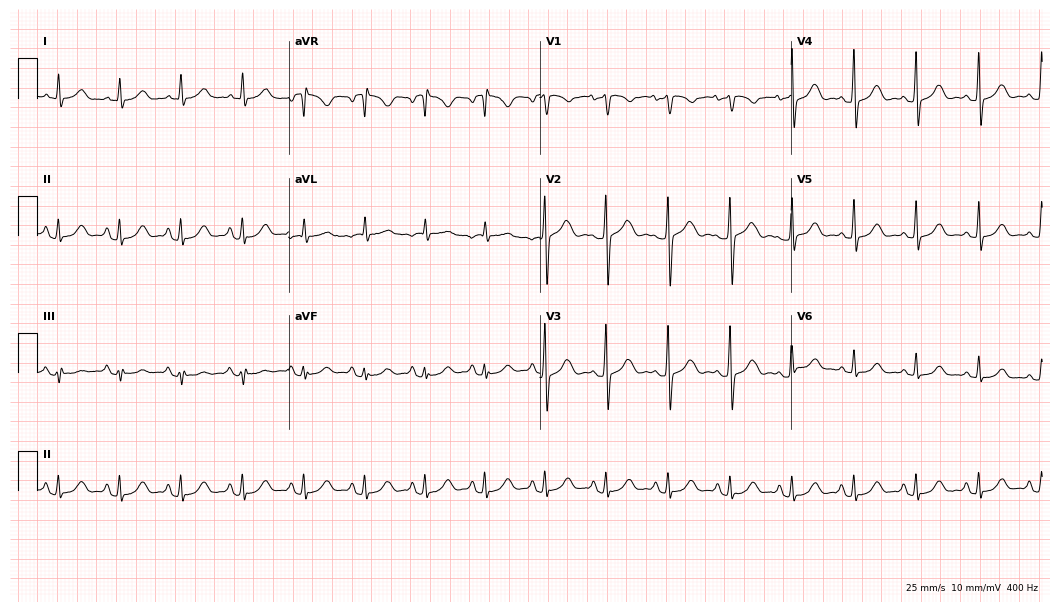
Standard 12-lead ECG recorded from a 73-year-old female patient (10.2-second recording at 400 Hz). Read as a normal ECG.